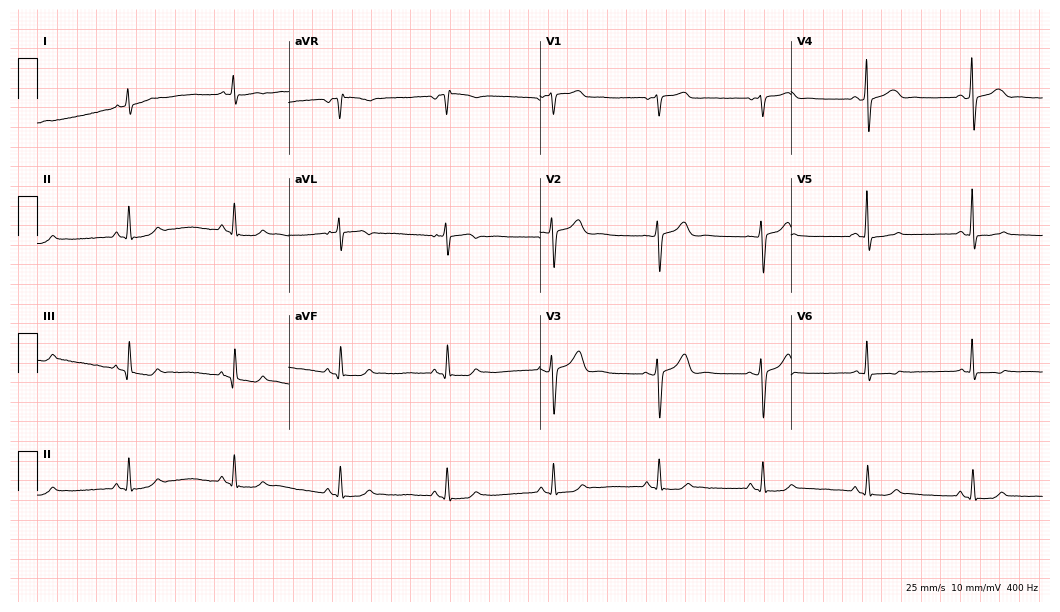
Electrocardiogram (10.2-second recording at 400 Hz), a 52-year-old female. Of the six screened findings (first-degree AV block, right bundle branch block, left bundle branch block, sinus bradycardia, atrial fibrillation, sinus tachycardia), none is recorded.